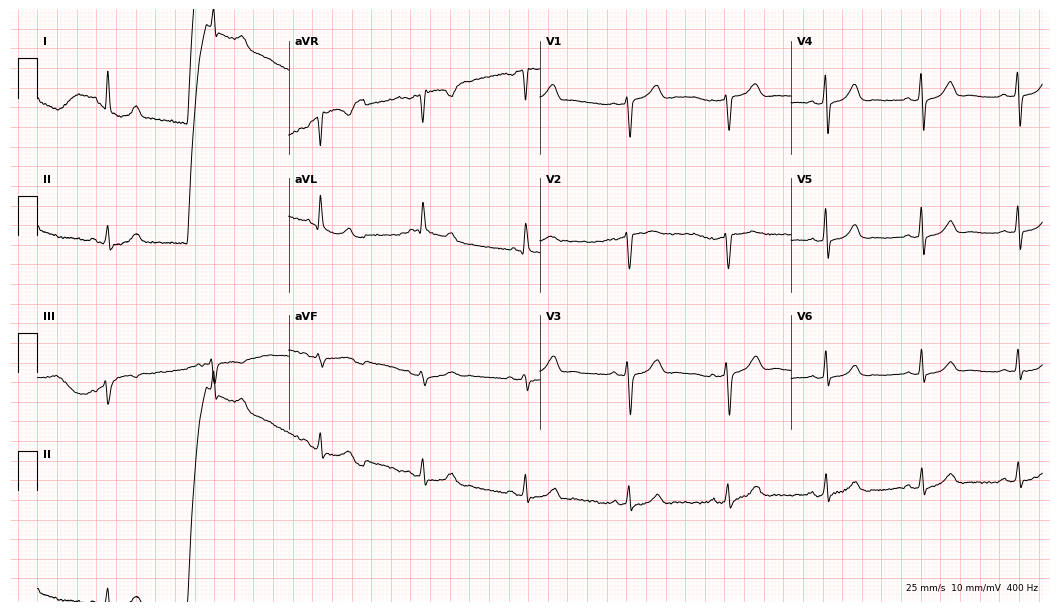
Resting 12-lead electrocardiogram. Patient: a female, 49 years old. Read as a normal ECG.